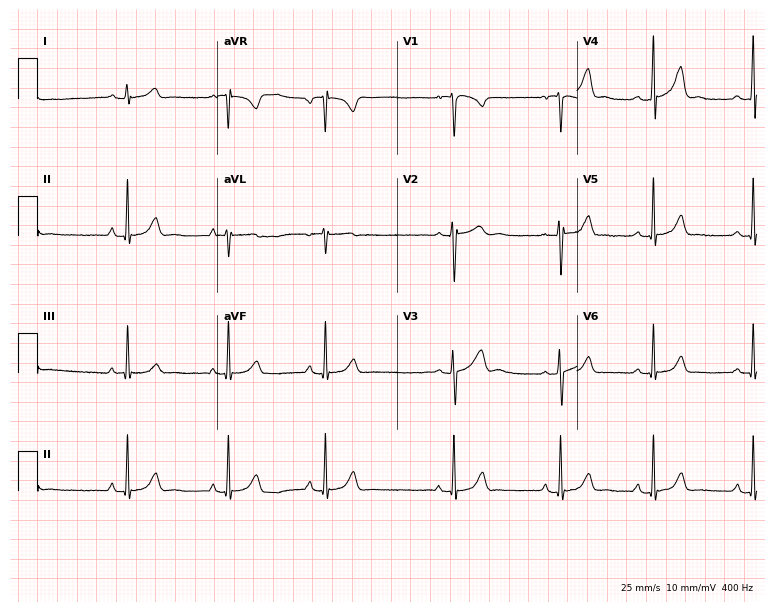
12-lead ECG from a woman, 17 years old. No first-degree AV block, right bundle branch block, left bundle branch block, sinus bradycardia, atrial fibrillation or sinus tachycardia recorded for this tracing.